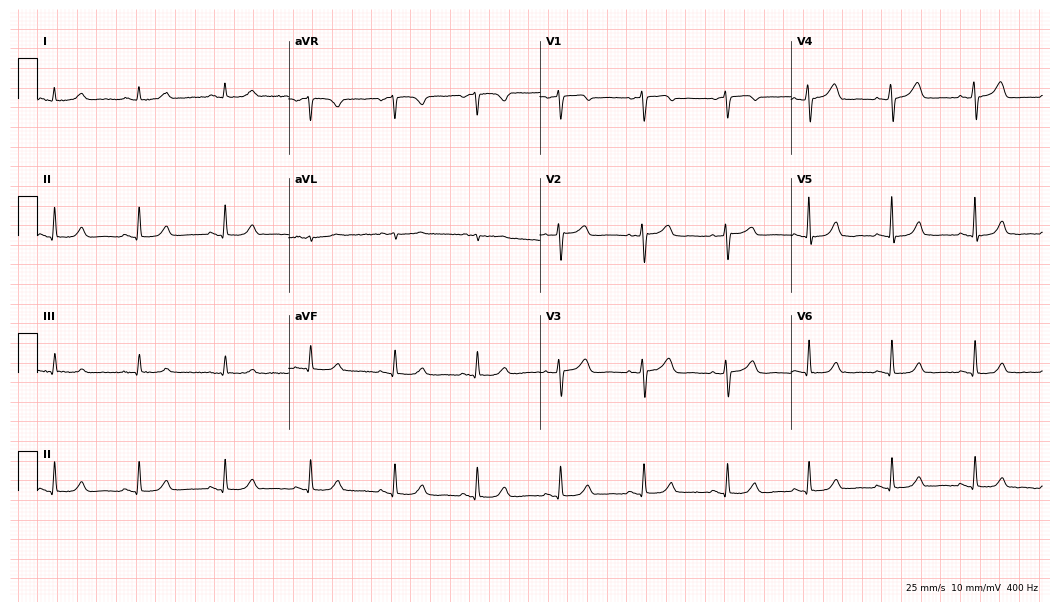
ECG — a female patient, 57 years old. Labelled as a normal ECG.